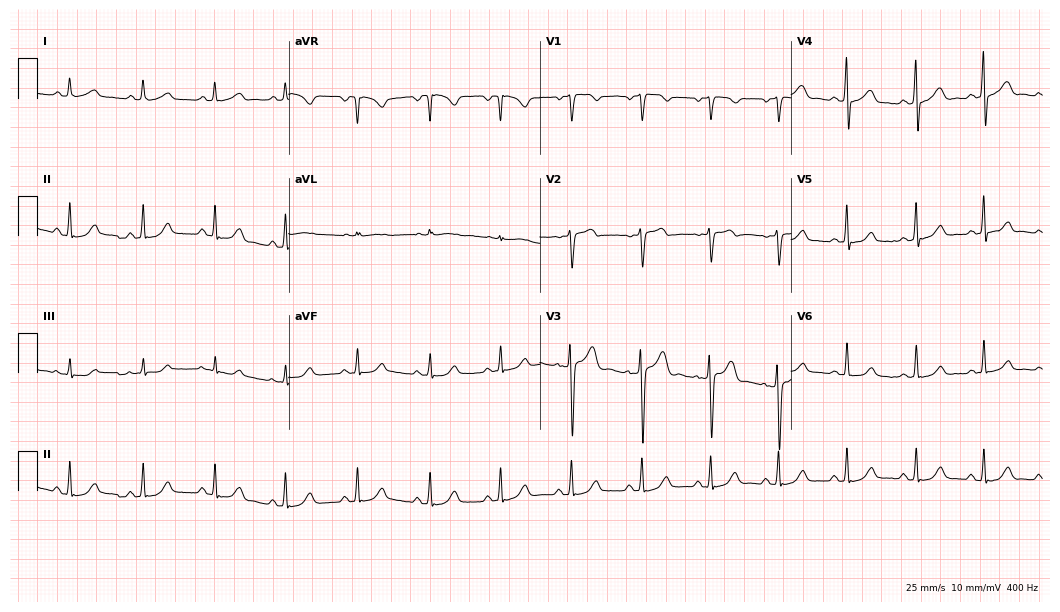
12-lead ECG from a female patient, 46 years old (10.2-second recording at 400 Hz). Recorded interpretation: within normal limits.